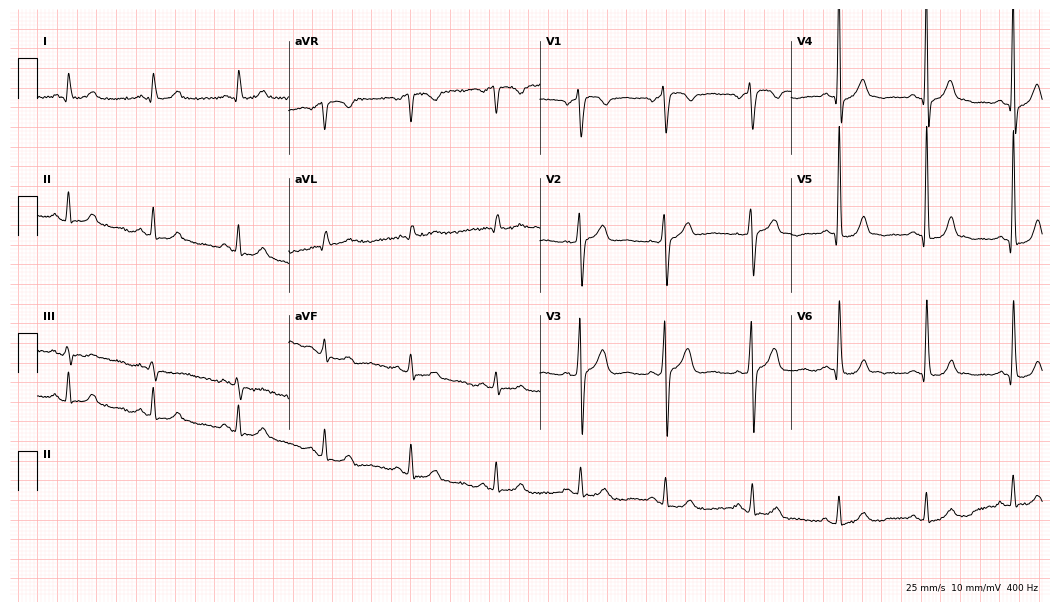
Electrocardiogram, a 69-year-old male patient. Of the six screened findings (first-degree AV block, right bundle branch block, left bundle branch block, sinus bradycardia, atrial fibrillation, sinus tachycardia), none is recorded. Findings outside these six are not listed.